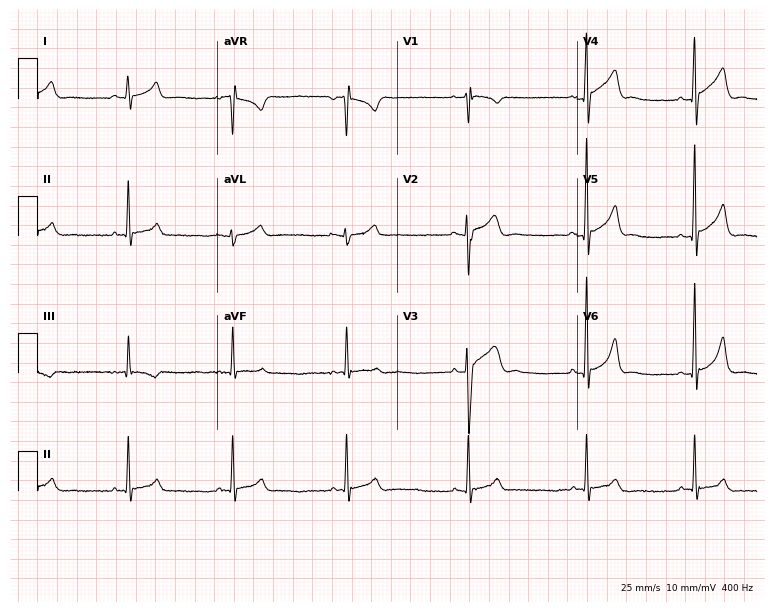
Electrocardiogram (7.3-second recording at 400 Hz), an 18-year-old male patient. Of the six screened findings (first-degree AV block, right bundle branch block (RBBB), left bundle branch block (LBBB), sinus bradycardia, atrial fibrillation (AF), sinus tachycardia), none is recorded. Other findings, if any, are not listed.